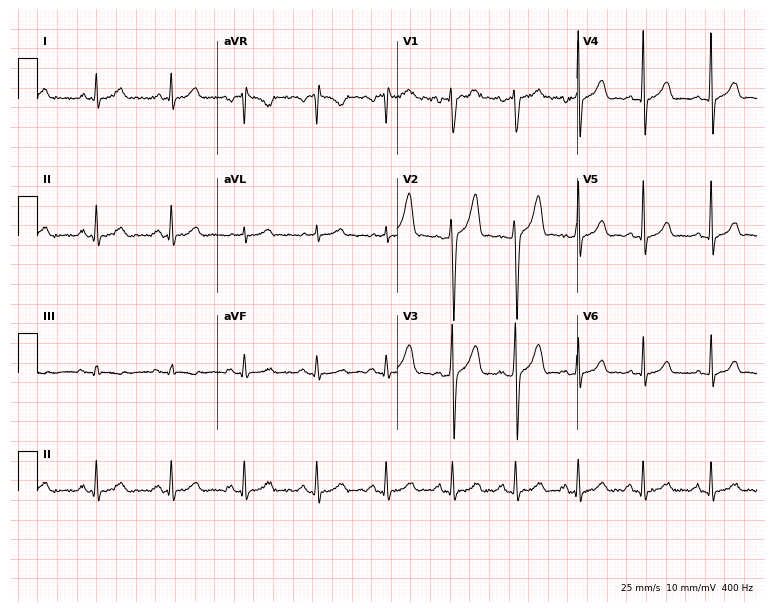
Resting 12-lead electrocardiogram. Patient: a 43-year-old male. None of these six findings is recorded: first-degree AV block, right bundle branch block, left bundle branch block, sinus bradycardia, atrial fibrillation, sinus tachycardia.